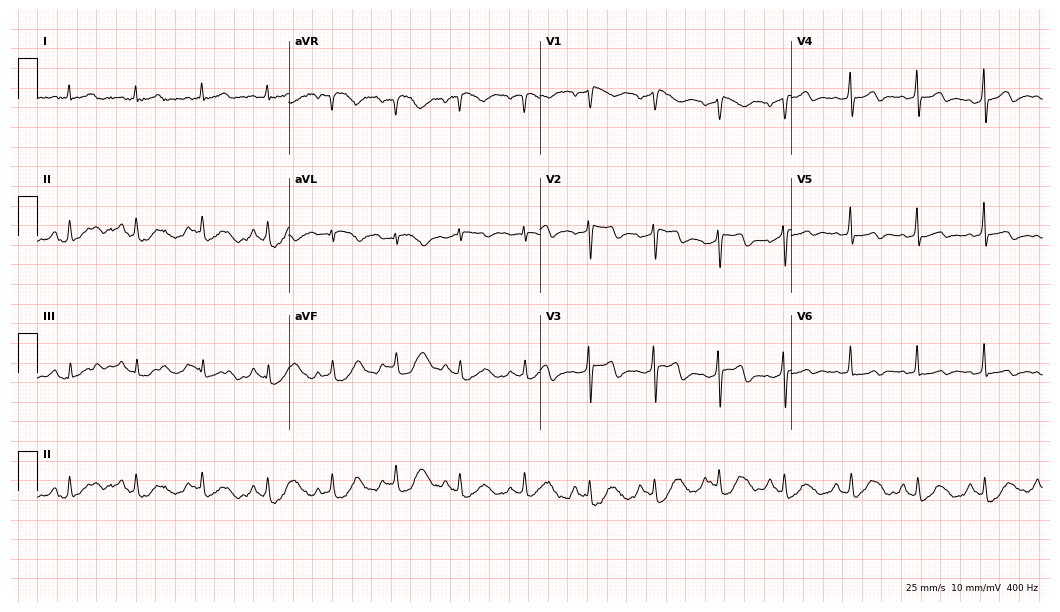
Electrocardiogram (10.2-second recording at 400 Hz), a male patient, 55 years old. Overall reading on record: normal ECG.